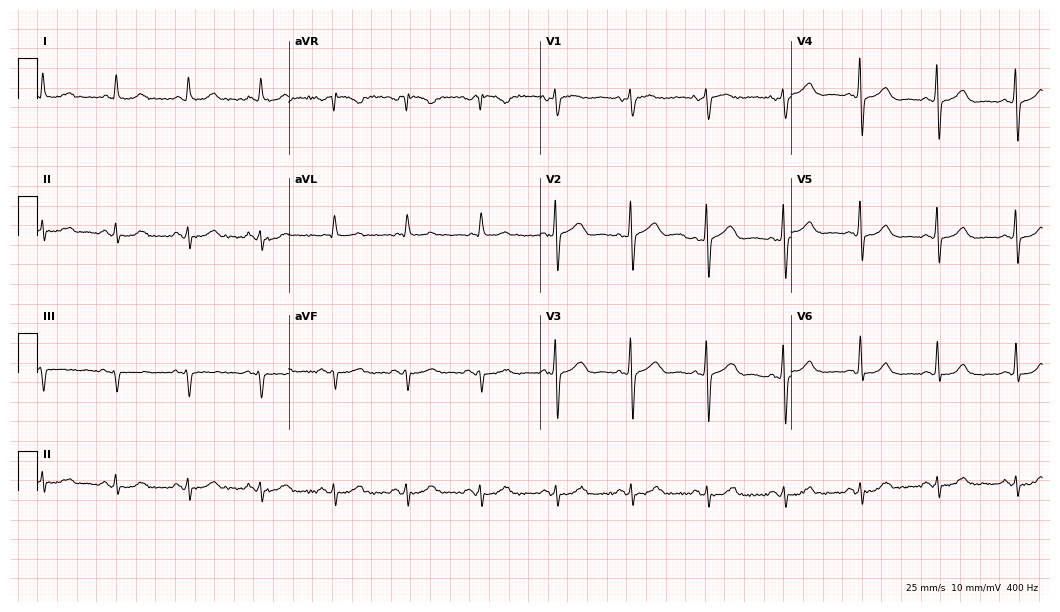
Electrocardiogram (10.2-second recording at 400 Hz), a 70-year-old male. Of the six screened findings (first-degree AV block, right bundle branch block, left bundle branch block, sinus bradycardia, atrial fibrillation, sinus tachycardia), none is recorded. Other findings, if any, are not listed.